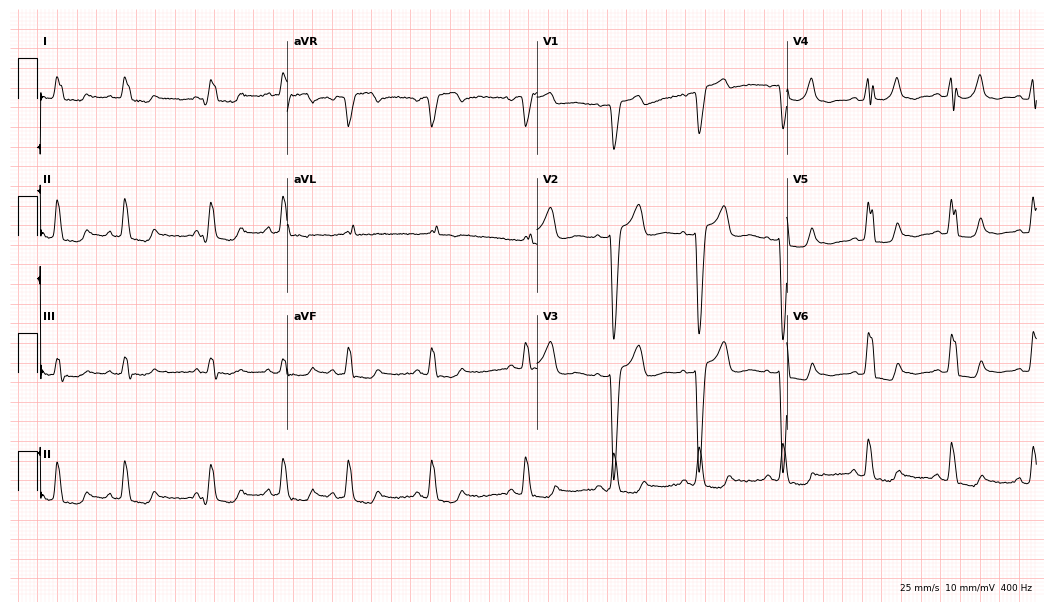
12-lead ECG from an 85-year-old woman. Findings include left bundle branch block.